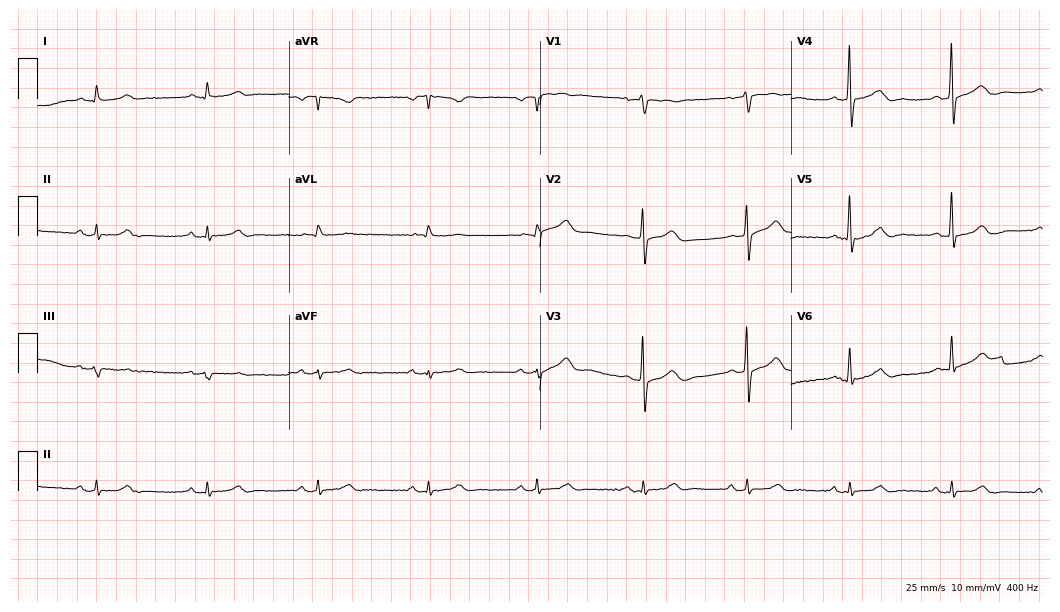
Resting 12-lead electrocardiogram. Patient: an 81-year-old man. Read as a normal ECG.